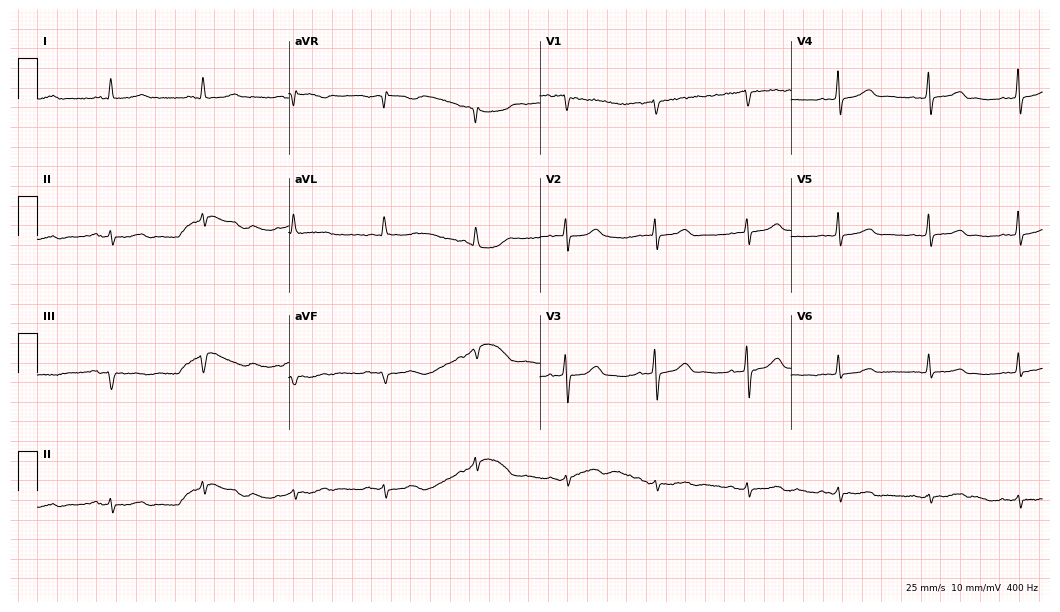
12-lead ECG from a woman, 75 years old (10.2-second recording at 400 Hz). Recorded interpretation: within normal limits.